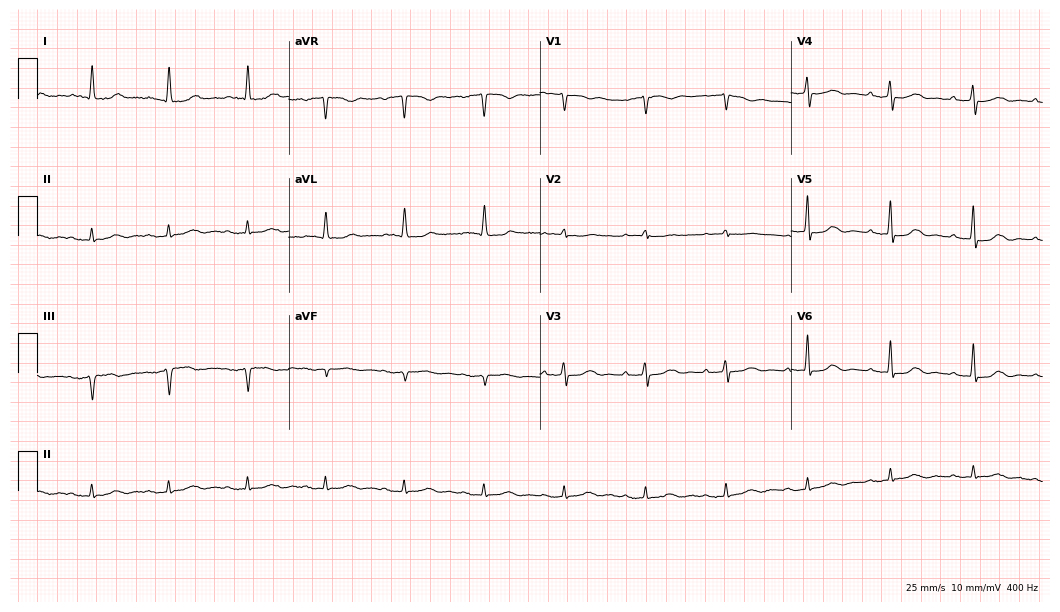
12-lead ECG from a 76-year-old woman. No first-degree AV block, right bundle branch block, left bundle branch block, sinus bradycardia, atrial fibrillation or sinus tachycardia recorded for this tracing.